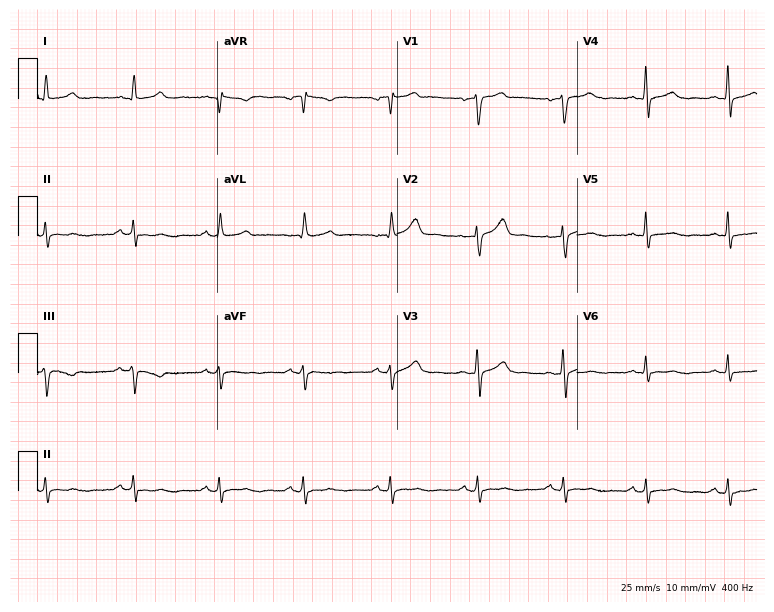
12-lead ECG from a male patient, 57 years old. Labelled as a normal ECG.